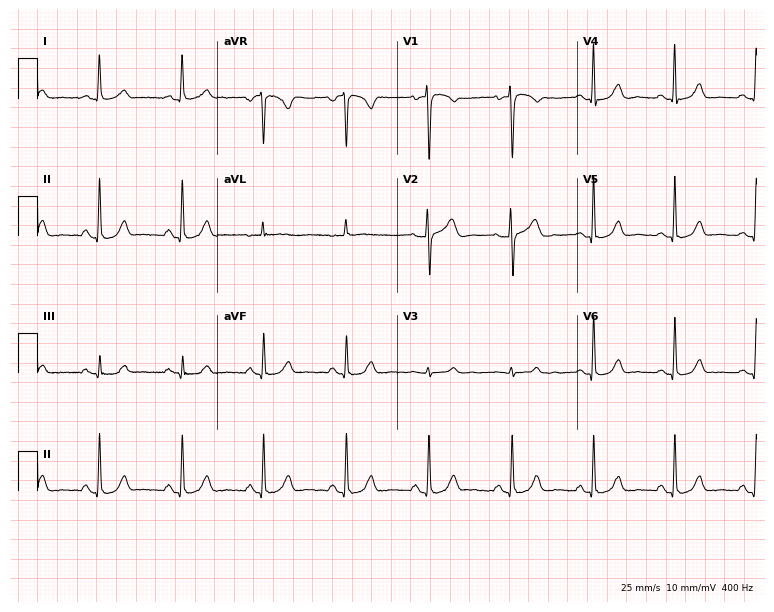
12-lead ECG from a 55-year-old female patient (7.3-second recording at 400 Hz). Recorded interpretation: within normal limits.